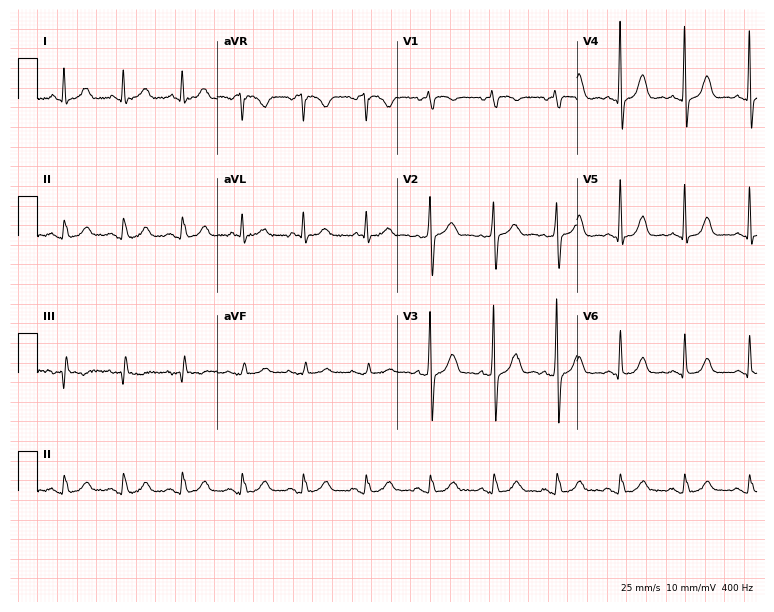
Electrocardiogram (7.3-second recording at 400 Hz), a female, 59 years old. Overall reading on record: normal ECG.